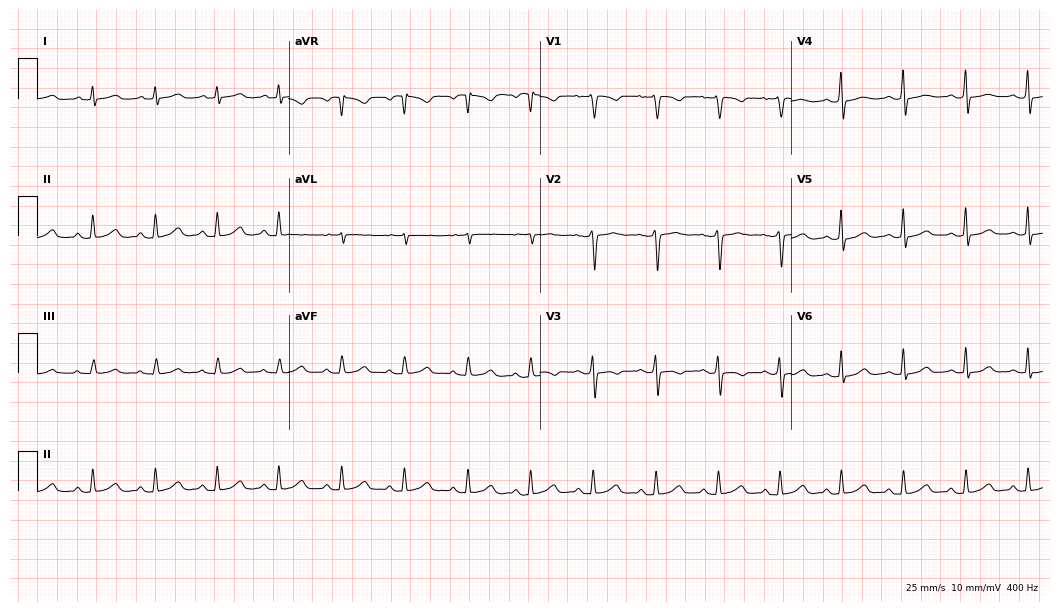
Electrocardiogram (10.2-second recording at 400 Hz), a 36-year-old female patient. Of the six screened findings (first-degree AV block, right bundle branch block, left bundle branch block, sinus bradycardia, atrial fibrillation, sinus tachycardia), none is recorded. Other findings, if any, are not listed.